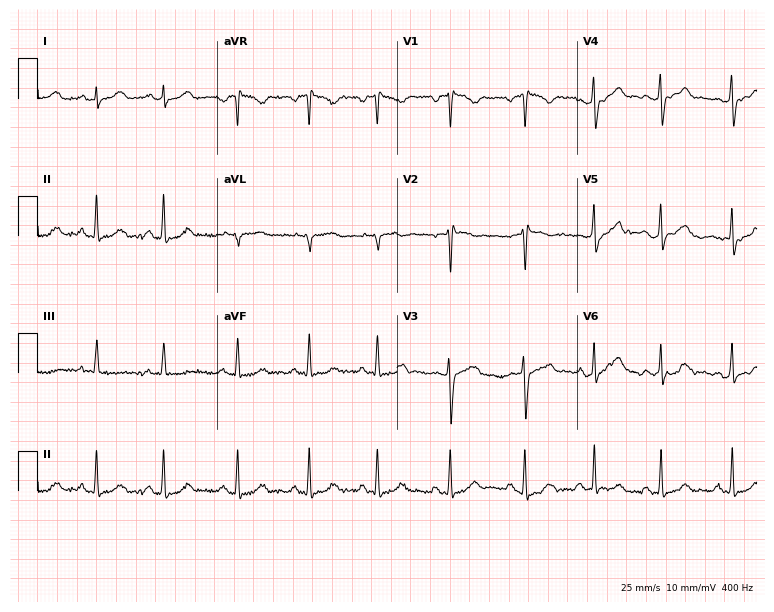
ECG (7.3-second recording at 400 Hz) — a female, 22 years old. Screened for six findings — first-degree AV block, right bundle branch block, left bundle branch block, sinus bradycardia, atrial fibrillation, sinus tachycardia — none is recorded. Only these six findings were labelled.